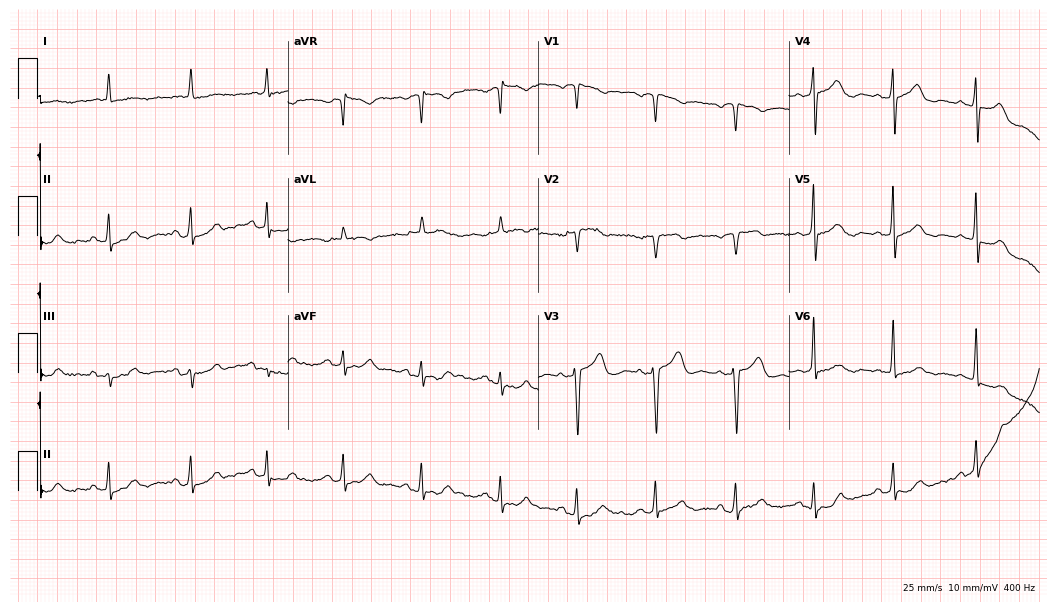
Electrocardiogram (10.2-second recording at 400 Hz), a 75-year-old woman. Of the six screened findings (first-degree AV block, right bundle branch block, left bundle branch block, sinus bradycardia, atrial fibrillation, sinus tachycardia), none is recorded.